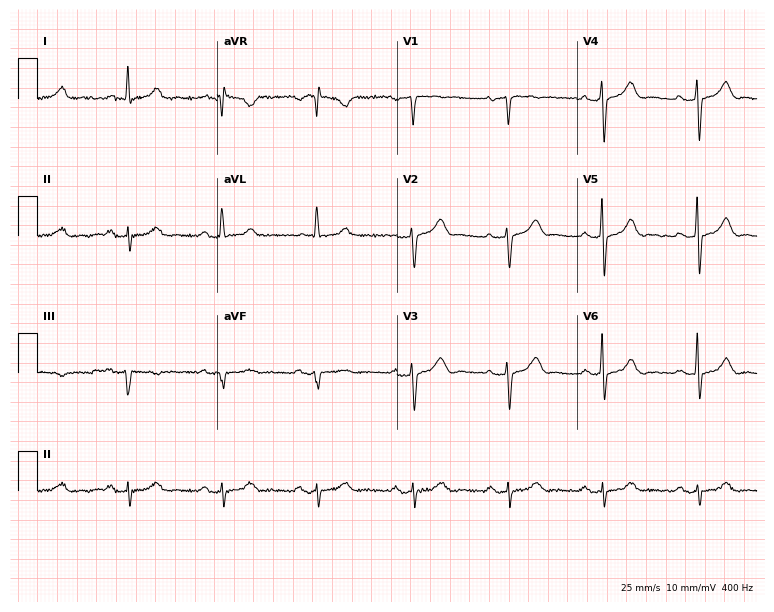
12-lead ECG from a 71-year-old man (7.3-second recording at 400 Hz). No first-degree AV block, right bundle branch block (RBBB), left bundle branch block (LBBB), sinus bradycardia, atrial fibrillation (AF) or sinus tachycardia recorded for this tracing.